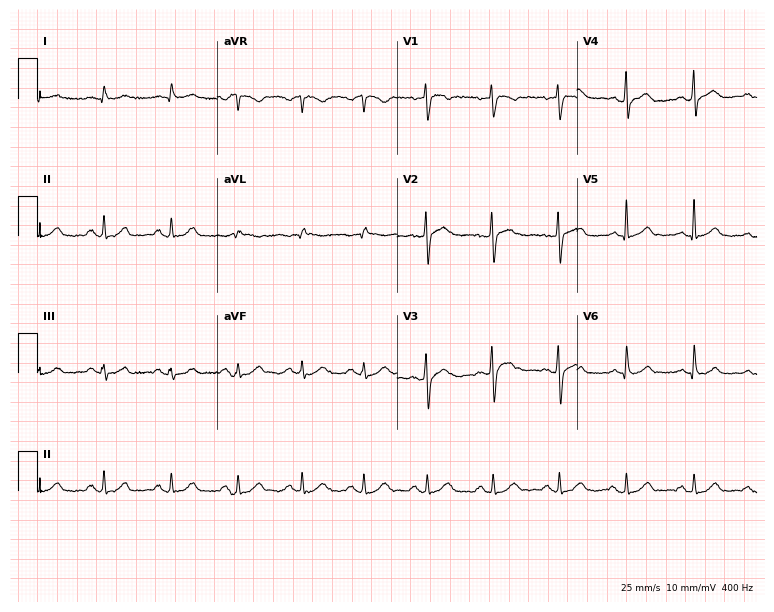
ECG (7.3-second recording at 400 Hz) — a 44-year-old woman. Screened for six findings — first-degree AV block, right bundle branch block, left bundle branch block, sinus bradycardia, atrial fibrillation, sinus tachycardia — none is recorded. Other findings, if any, are not listed.